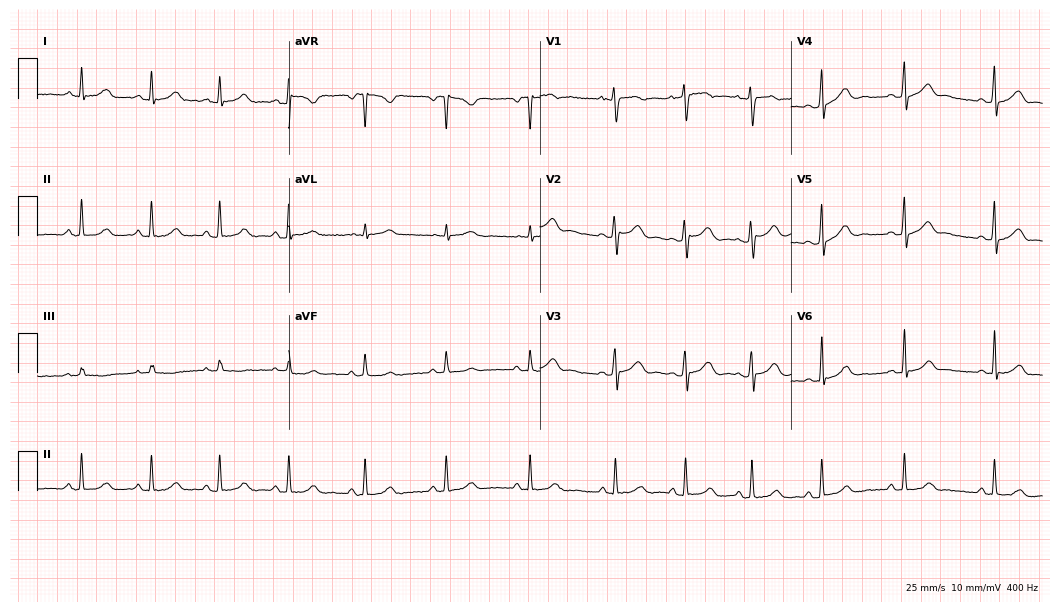
ECG — an 18-year-old female patient. Labelled as a normal ECG.